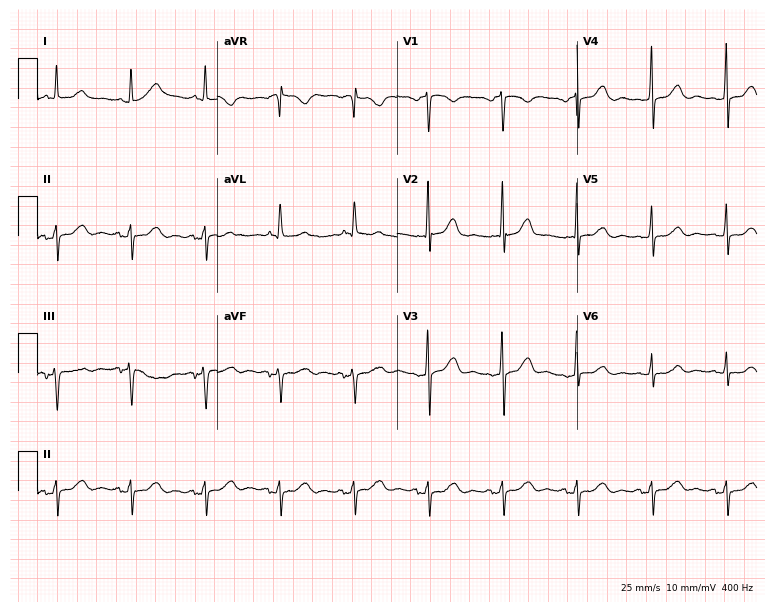
Electrocardiogram, a female, 70 years old. Overall reading on record: normal ECG.